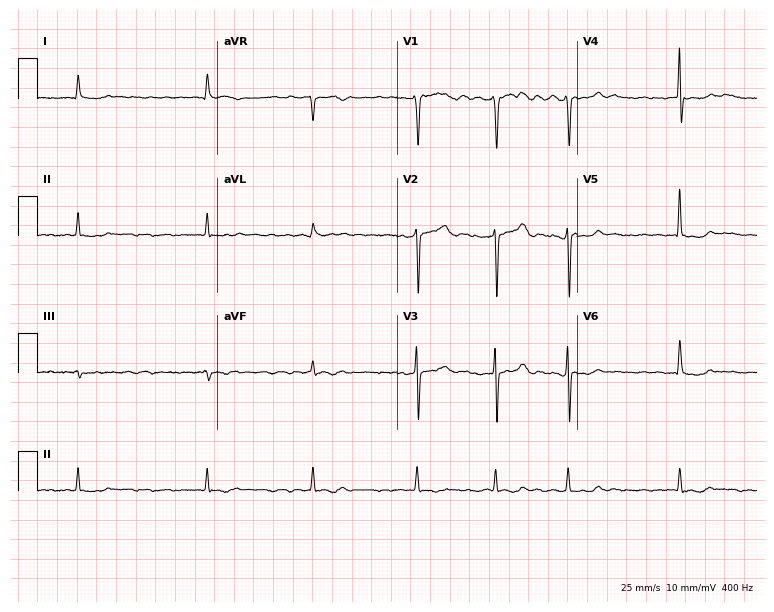
Standard 12-lead ECG recorded from a male, 76 years old (7.3-second recording at 400 Hz). The tracing shows atrial fibrillation (AF).